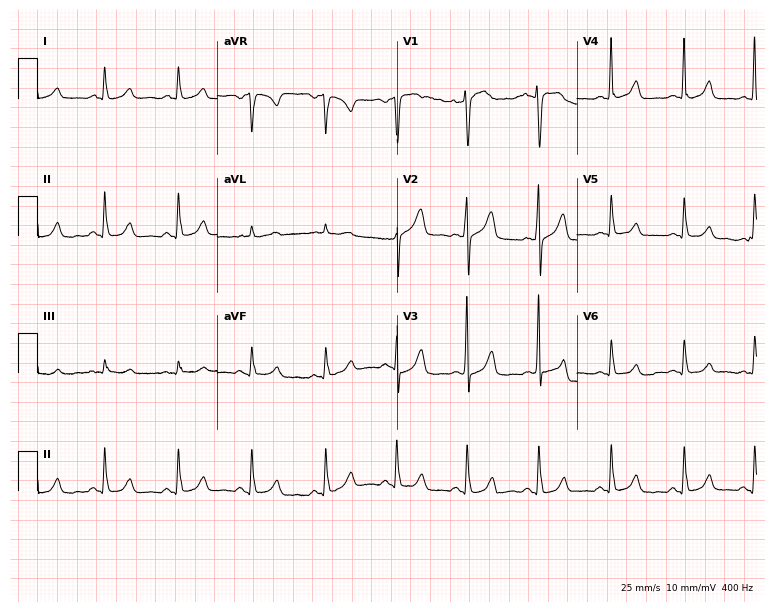
12-lead ECG (7.3-second recording at 400 Hz) from a 60-year-old woman. Screened for six findings — first-degree AV block, right bundle branch block (RBBB), left bundle branch block (LBBB), sinus bradycardia, atrial fibrillation (AF), sinus tachycardia — none is recorded. Findings outside these six are not listed.